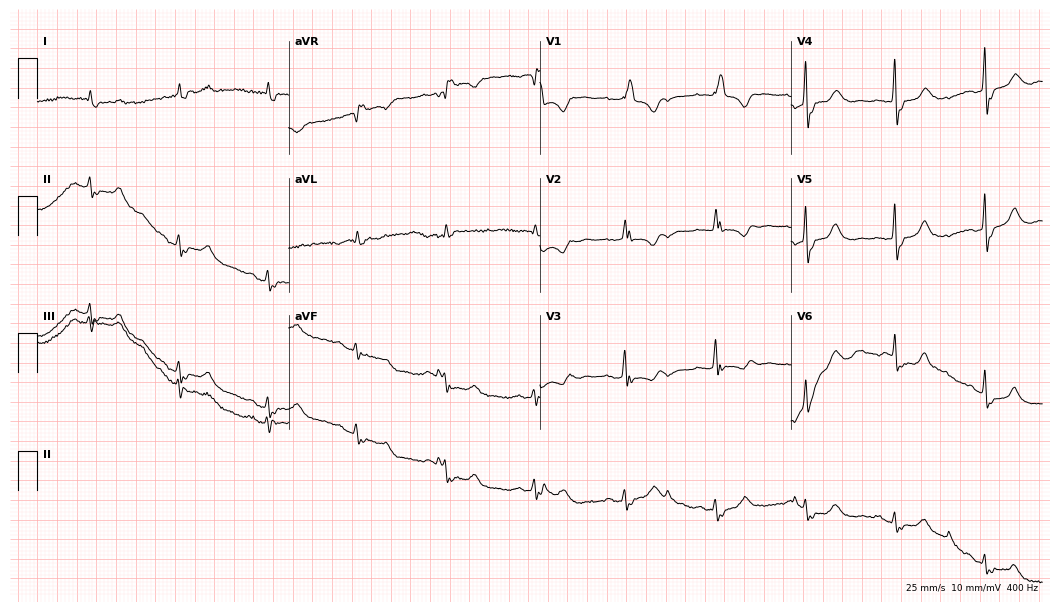
12-lead ECG from an 80-year-old female. Screened for six findings — first-degree AV block, right bundle branch block, left bundle branch block, sinus bradycardia, atrial fibrillation, sinus tachycardia — none is recorded.